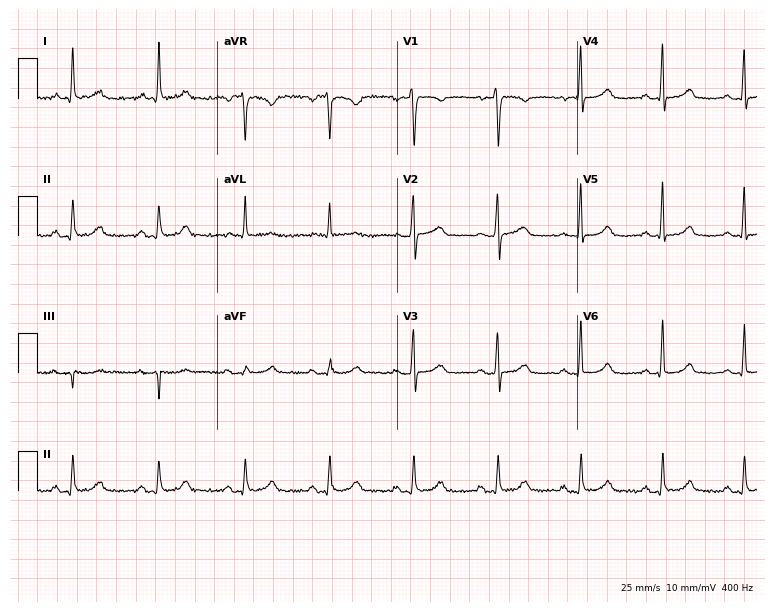
Electrocardiogram, a woman, 54 years old. Overall reading on record: normal ECG.